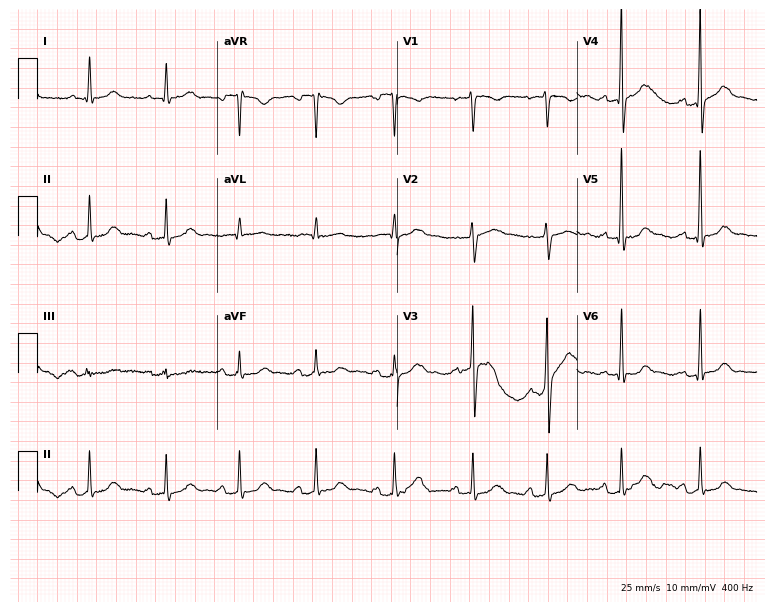
Electrocardiogram (7.3-second recording at 400 Hz), a 53-year-old male. Overall reading on record: normal ECG.